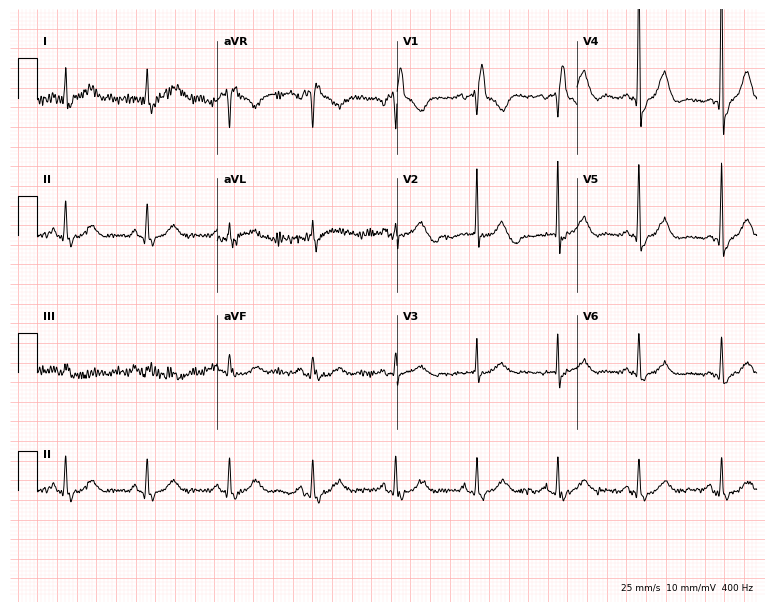
12-lead ECG (7.3-second recording at 400 Hz) from a 78-year-old female patient. Findings include right bundle branch block.